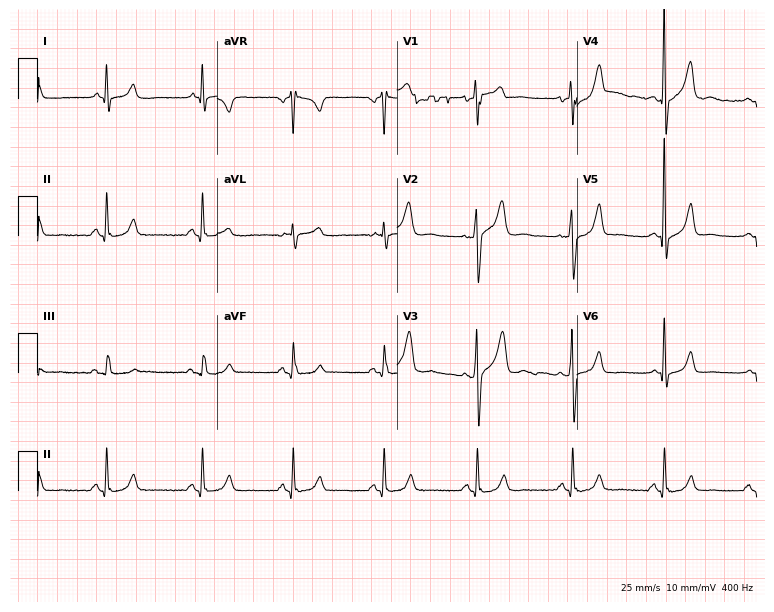
Standard 12-lead ECG recorded from a man, 54 years old. Read as a normal ECG.